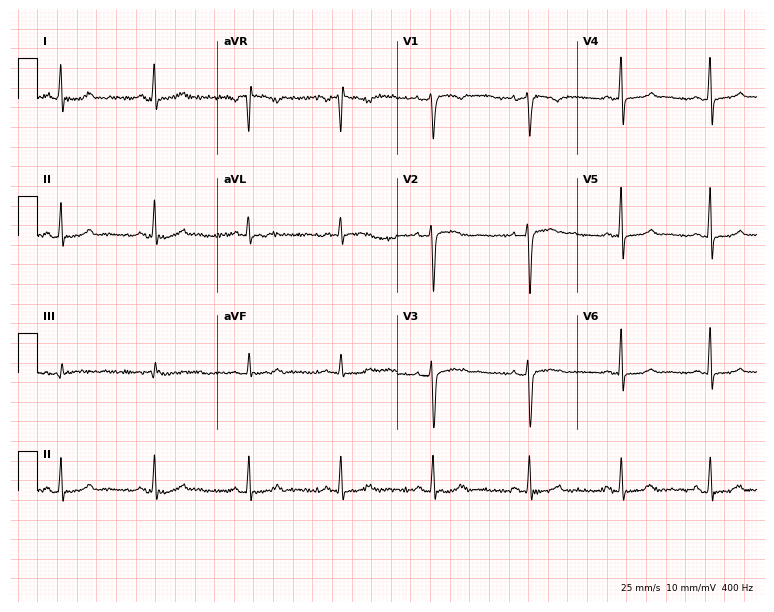
12-lead ECG from a female patient, 40 years old (7.3-second recording at 400 Hz). No first-degree AV block, right bundle branch block (RBBB), left bundle branch block (LBBB), sinus bradycardia, atrial fibrillation (AF) or sinus tachycardia recorded for this tracing.